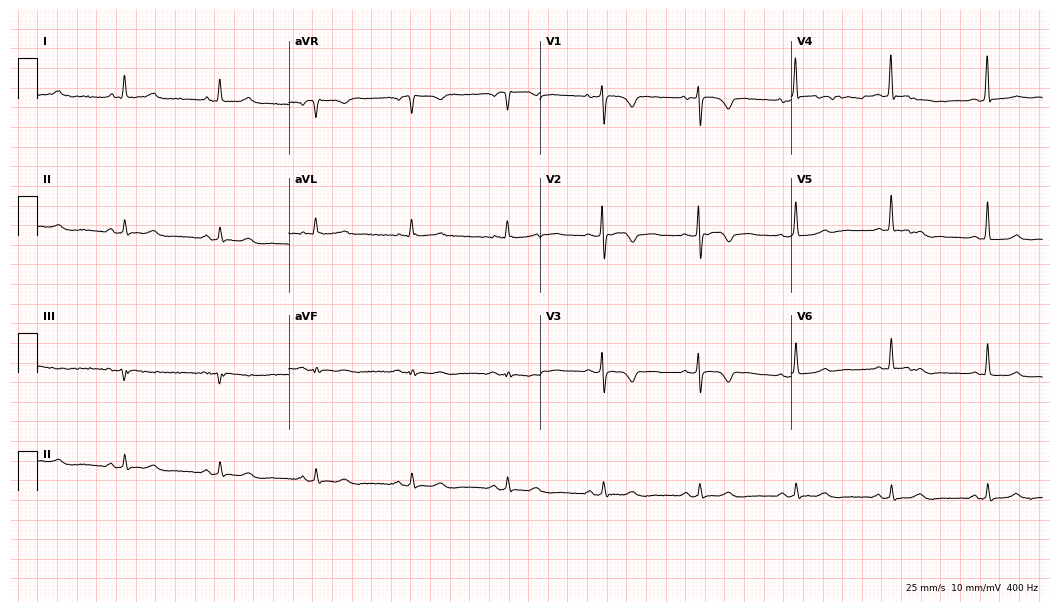
12-lead ECG from a woman, 55 years old (10.2-second recording at 400 Hz). No first-degree AV block, right bundle branch block, left bundle branch block, sinus bradycardia, atrial fibrillation or sinus tachycardia recorded for this tracing. Only these six findings were labelled.